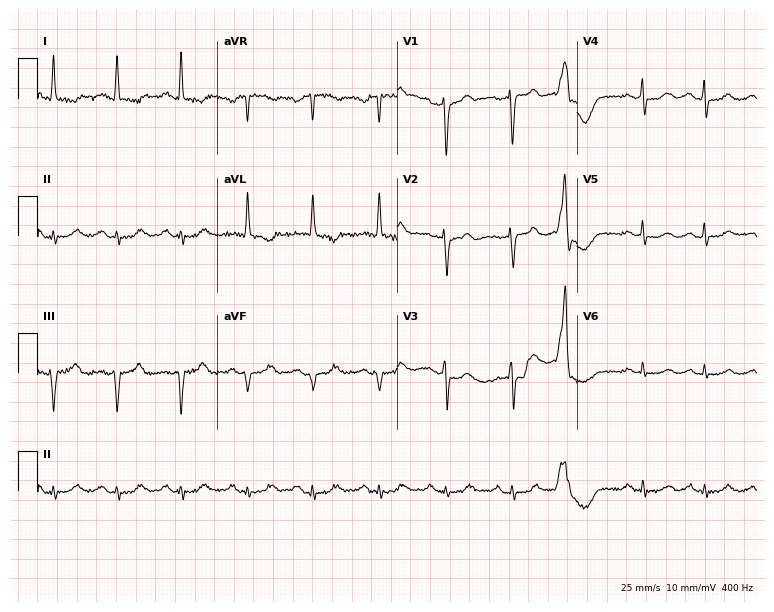
12-lead ECG (7.3-second recording at 400 Hz) from a female patient, 57 years old. Screened for six findings — first-degree AV block, right bundle branch block (RBBB), left bundle branch block (LBBB), sinus bradycardia, atrial fibrillation (AF), sinus tachycardia — none is recorded. Findings outside these six are not listed.